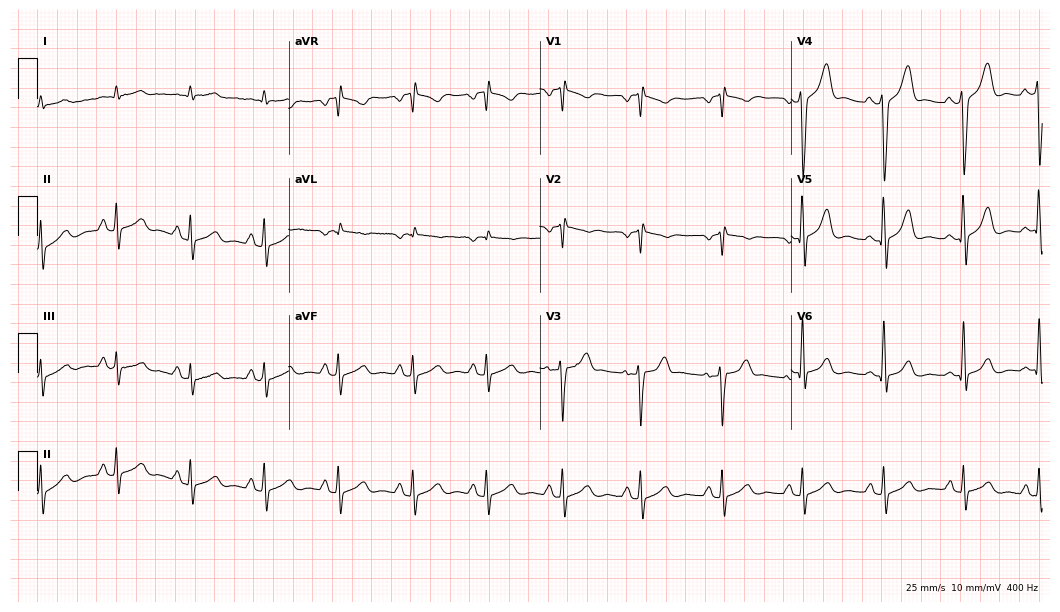
12-lead ECG from a 53-year-old male (10.2-second recording at 400 Hz). No first-degree AV block, right bundle branch block, left bundle branch block, sinus bradycardia, atrial fibrillation or sinus tachycardia recorded for this tracing.